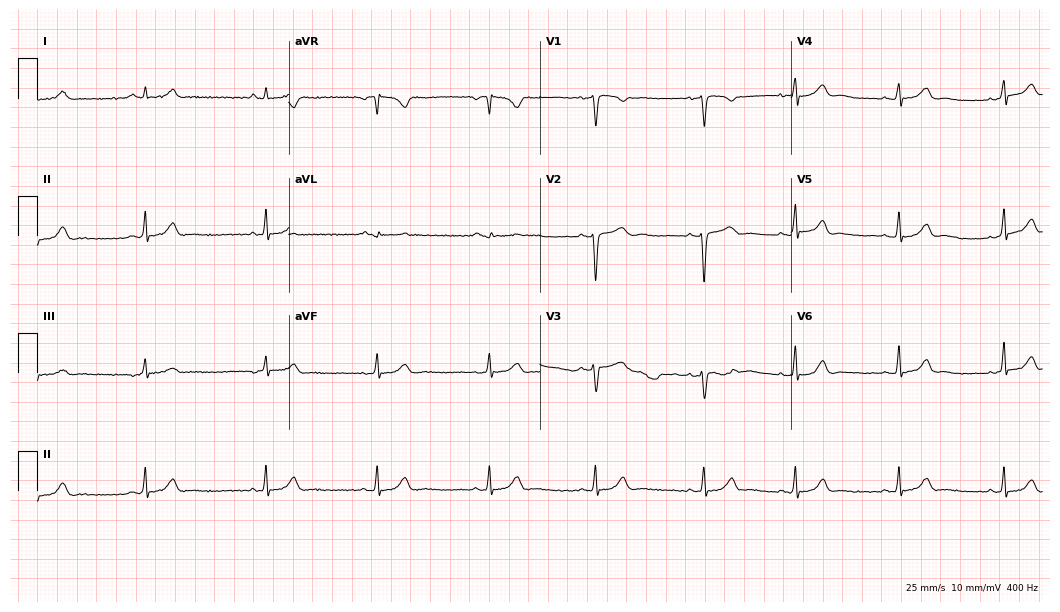
Electrocardiogram (10.2-second recording at 400 Hz), a 33-year-old female. Overall reading on record: normal ECG.